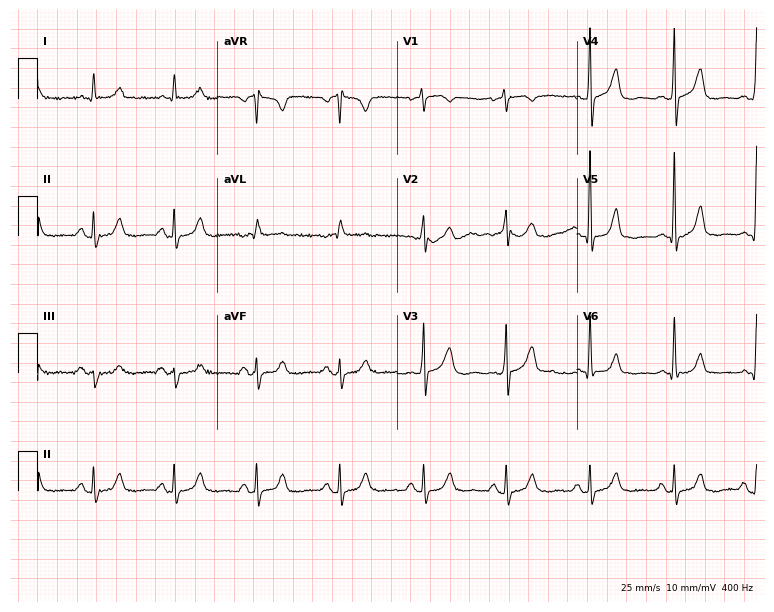
12-lead ECG from a 72-year-old man. Screened for six findings — first-degree AV block, right bundle branch block (RBBB), left bundle branch block (LBBB), sinus bradycardia, atrial fibrillation (AF), sinus tachycardia — none is recorded. Only these six findings were labelled.